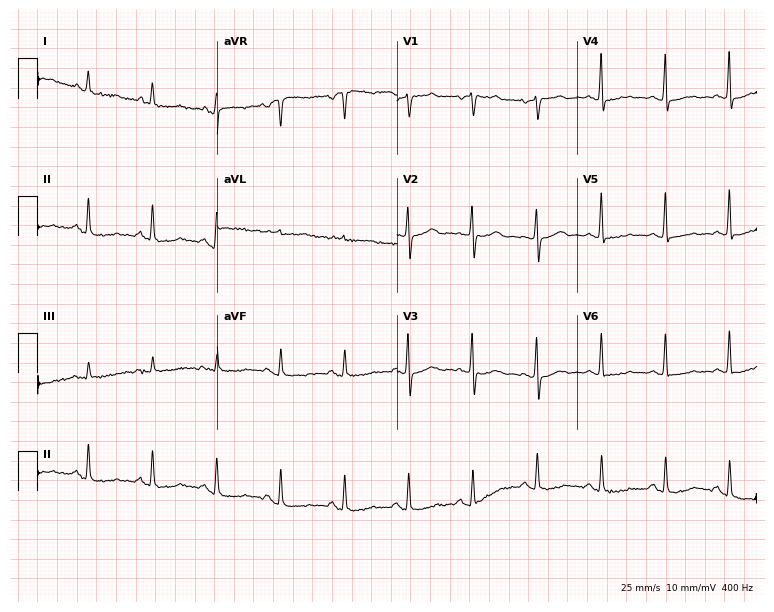
Standard 12-lead ECG recorded from a 63-year-old female. None of these six findings is recorded: first-degree AV block, right bundle branch block, left bundle branch block, sinus bradycardia, atrial fibrillation, sinus tachycardia.